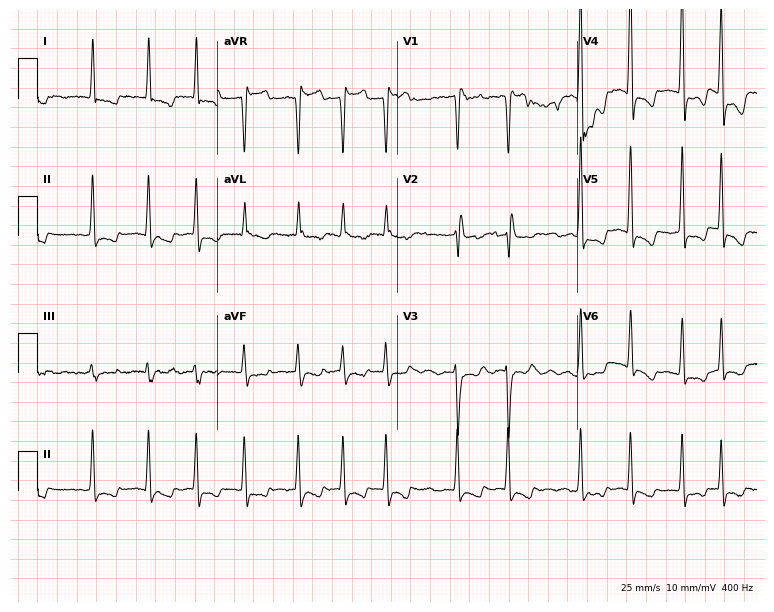
Electrocardiogram (7.3-second recording at 400 Hz), a 69-year-old female patient. Interpretation includes atrial fibrillation.